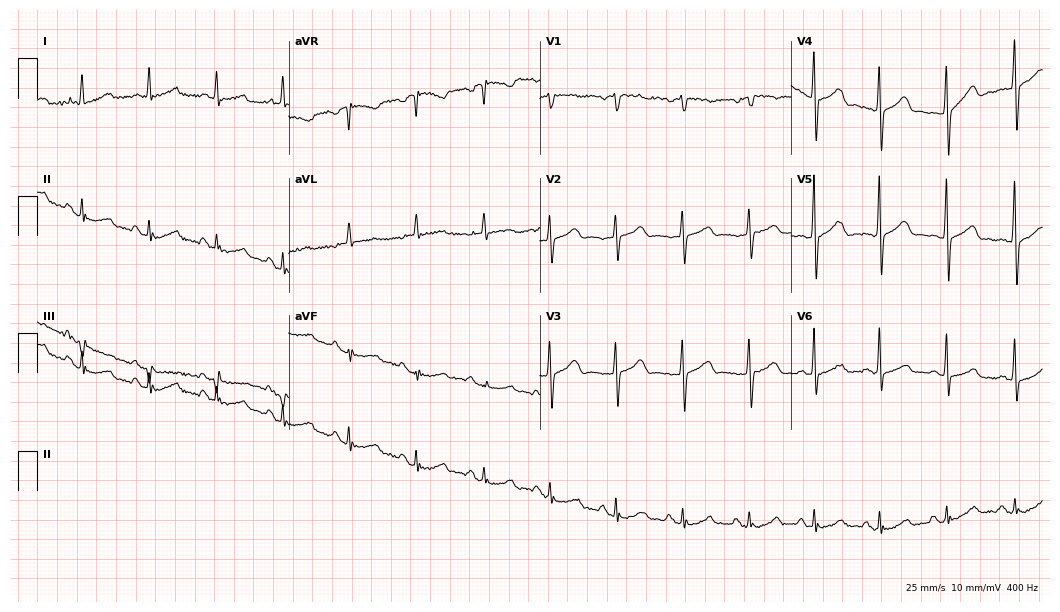
ECG — a female patient, 22 years old. Labelled as a normal ECG.